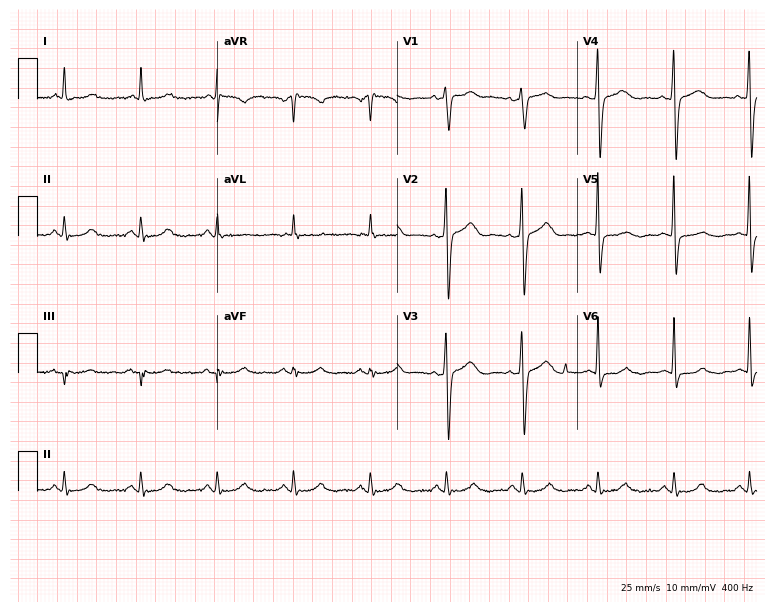
12-lead ECG from a 56-year-old female. Labelled as a normal ECG.